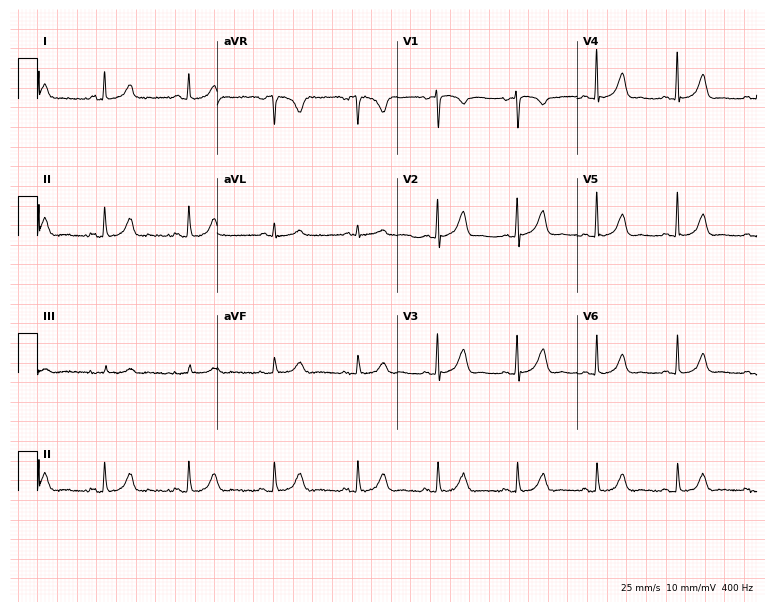
12-lead ECG from a female, 61 years old (7.3-second recording at 400 Hz). Recorded interpretation: within normal limits.